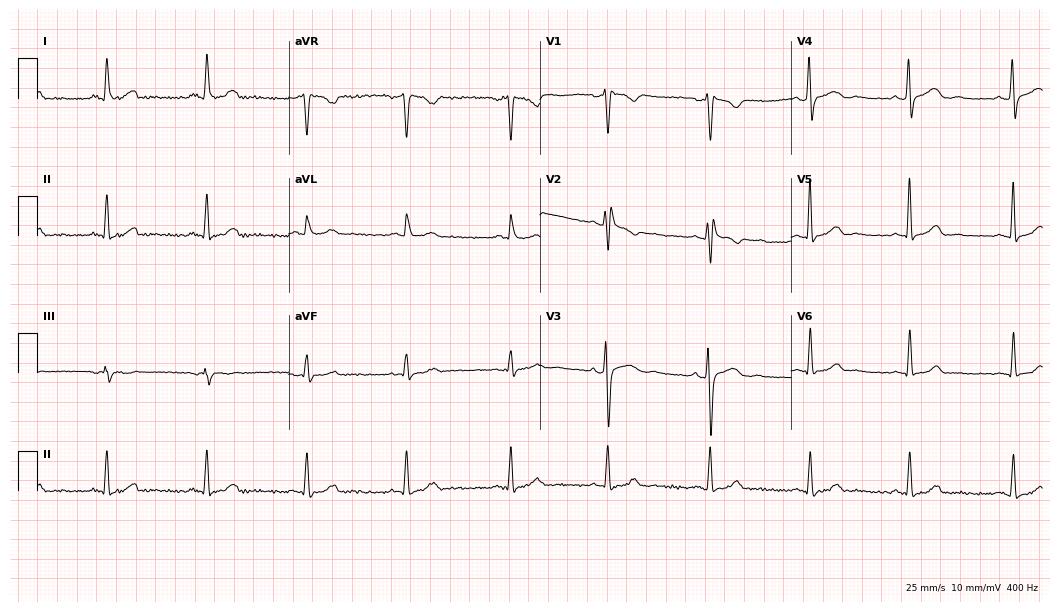
Standard 12-lead ECG recorded from a woman, 38 years old (10.2-second recording at 400 Hz). None of these six findings is recorded: first-degree AV block, right bundle branch block (RBBB), left bundle branch block (LBBB), sinus bradycardia, atrial fibrillation (AF), sinus tachycardia. Other findings, if any, are not listed.